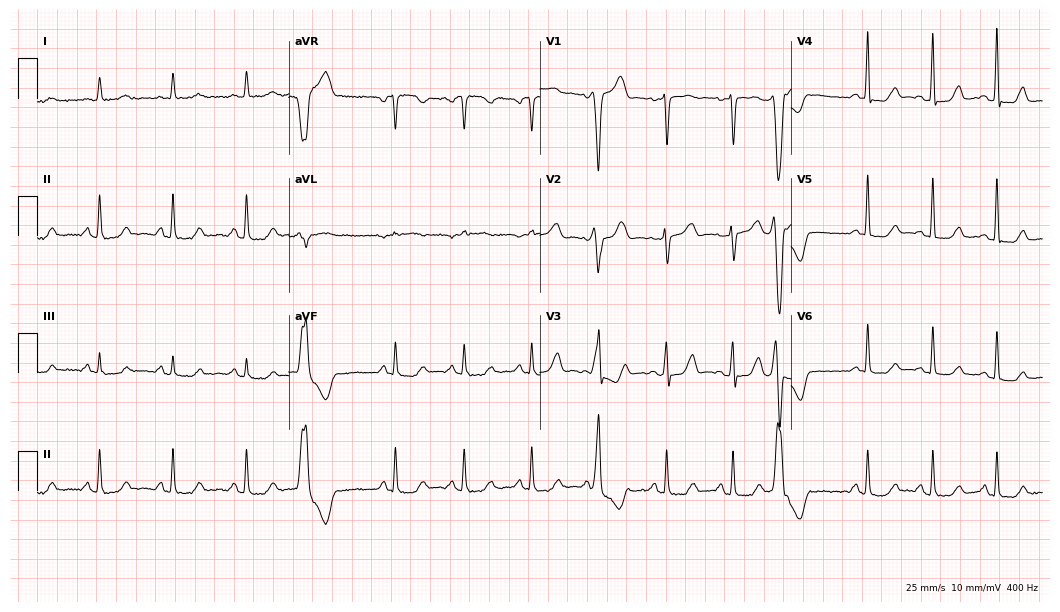
12-lead ECG from a 58-year-old woman. Screened for six findings — first-degree AV block, right bundle branch block, left bundle branch block, sinus bradycardia, atrial fibrillation, sinus tachycardia — none is recorded. Findings outside these six are not listed.